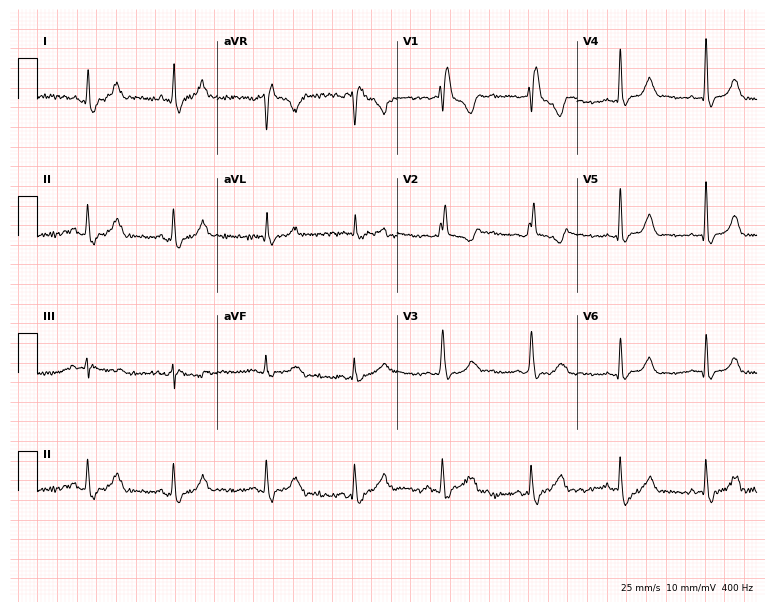
Standard 12-lead ECG recorded from a female, 53 years old. The tracing shows right bundle branch block.